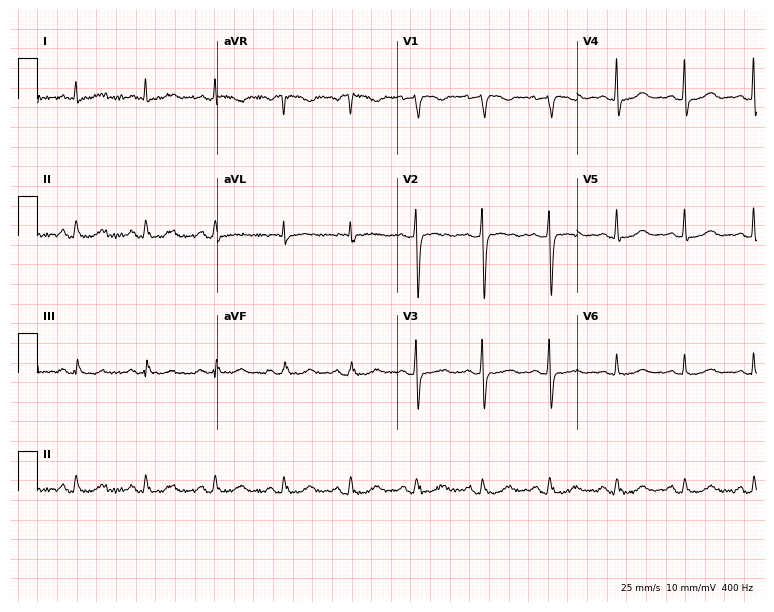
12-lead ECG from a woman, 63 years old. Labelled as a normal ECG.